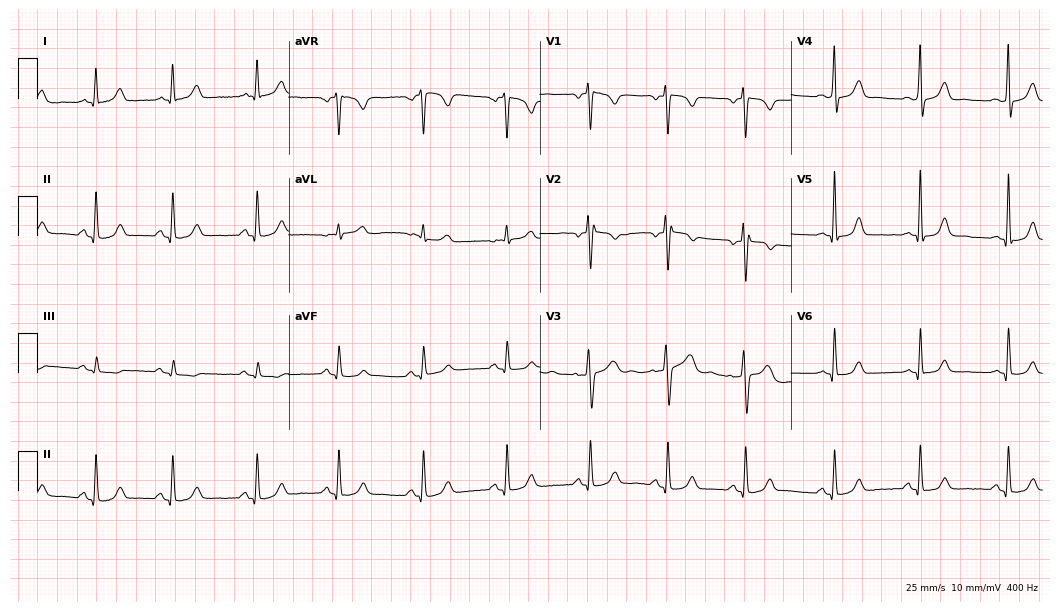
ECG (10.2-second recording at 400 Hz) — a female, 35 years old. Labelled as a normal ECG.